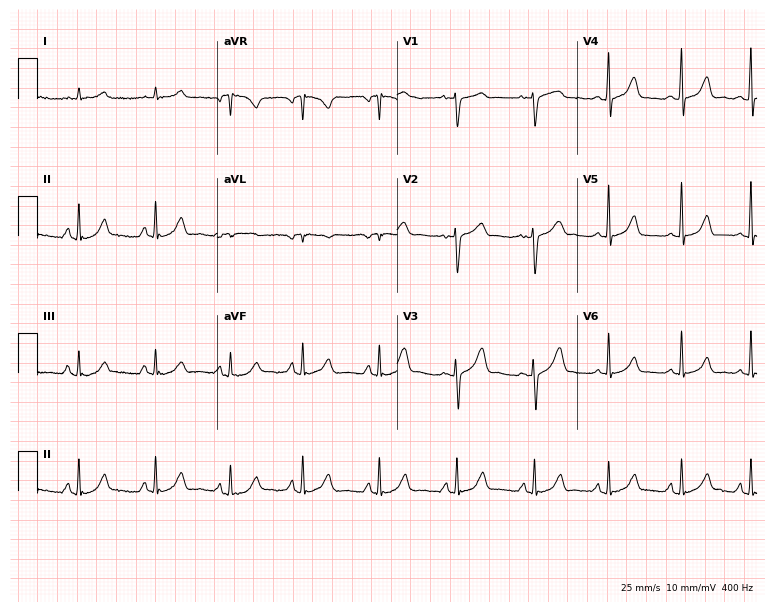
Electrocardiogram, a 45-year-old female patient. Overall reading on record: normal ECG.